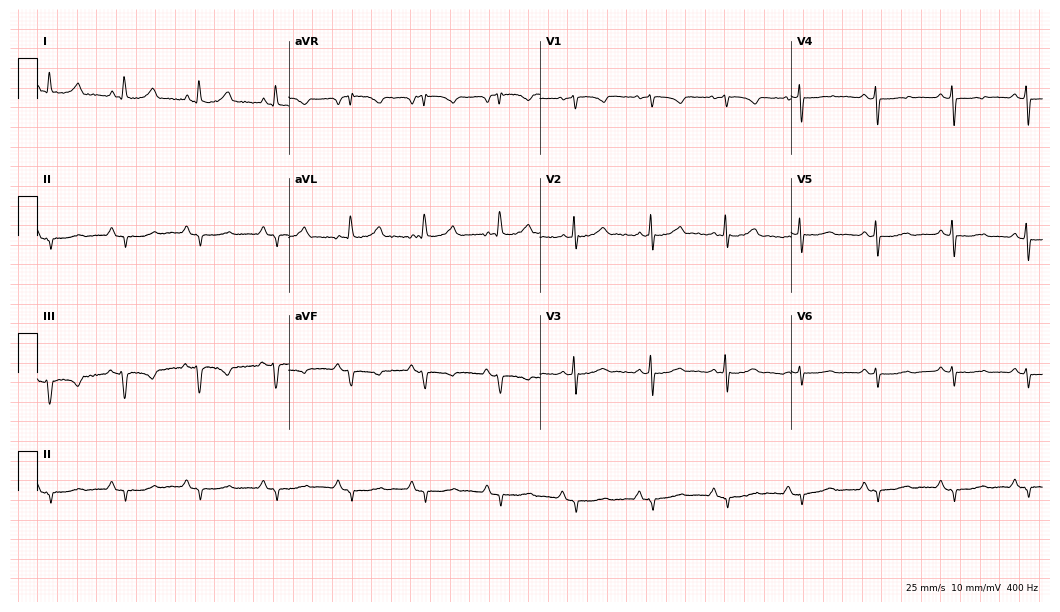
ECG — a female, 70 years old. Screened for six findings — first-degree AV block, right bundle branch block (RBBB), left bundle branch block (LBBB), sinus bradycardia, atrial fibrillation (AF), sinus tachycardia — none is recorded. Other findings, if any, are not listed.